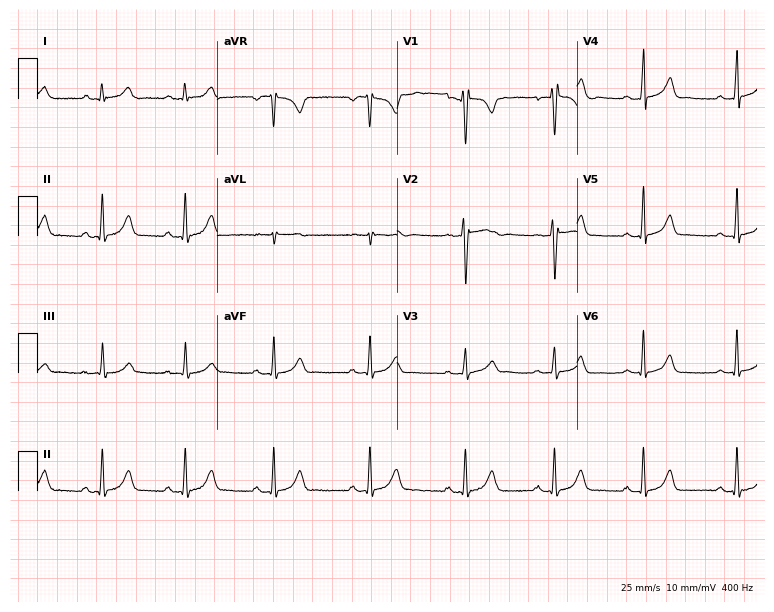
ECG — a female, 31 years old. Labelled as a normal ECG.